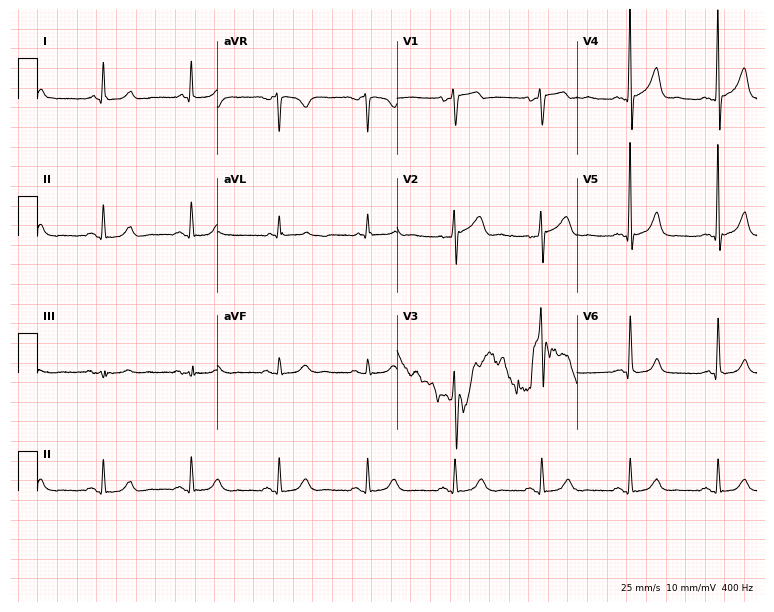
12-lead ECG from a male, 60 years old (7.3-second recording at 400 Hz). No first-degree AV block, right bundle branch block, left bundle branch block, sinus bradycardia, atrial fibrillation or sinus tachycardia recorded for this tracing.